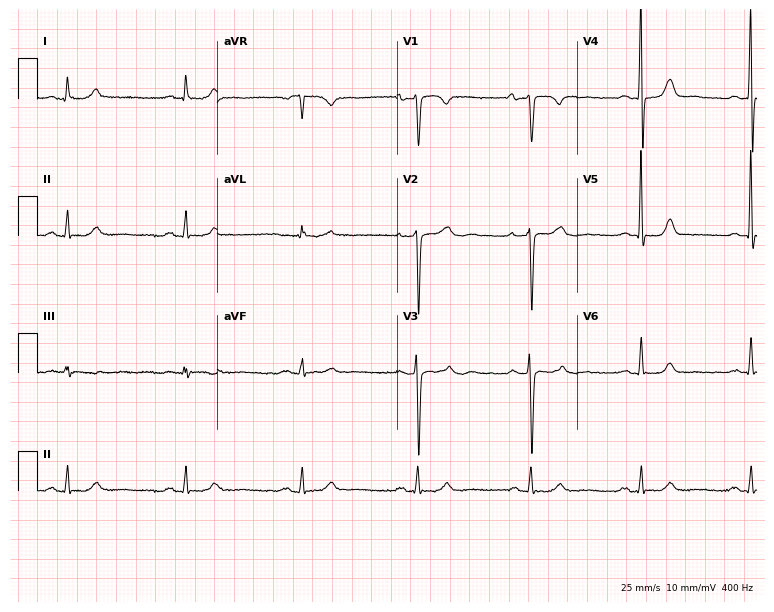
Electrocardiogram, a 76-year-old man. Of the six screened findings (first-degree AV block, right bundle branch block, left bundle branch block, sinus bradycardia, atrial fibrillation, sinus tachycardia), none is recorded.